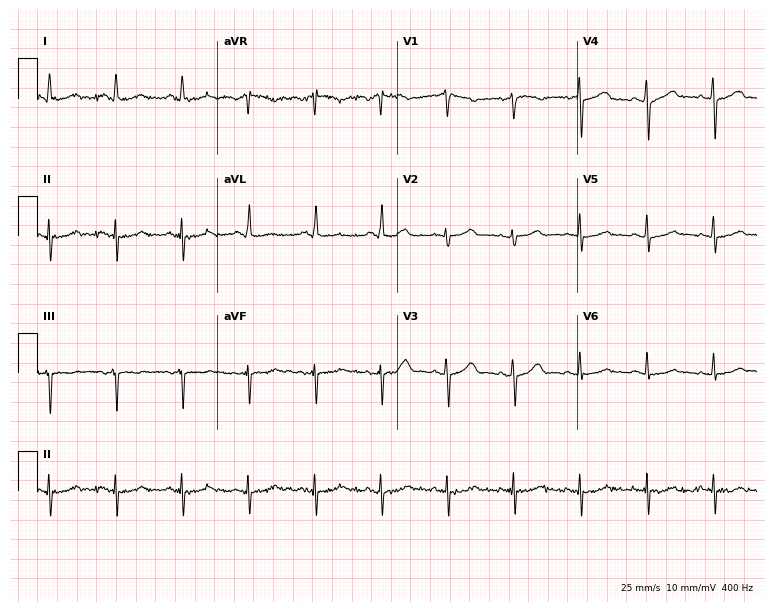
Electrocardiogram, a woman, 76 years old. Overall reading on record: normal ECG.